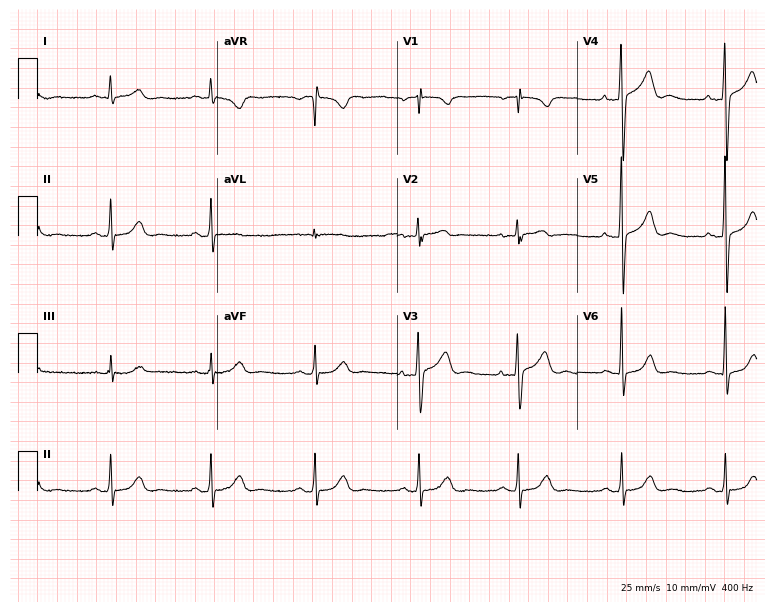
12-lead ECG from a 67-year-old man. Screened for six findings — first-degree AV block, right bundle branch block, left bundle branch block, sinus bradycardia, atrial fibrillation, sinus tachycardia — none is recorded. Findings outside these six are not listed.